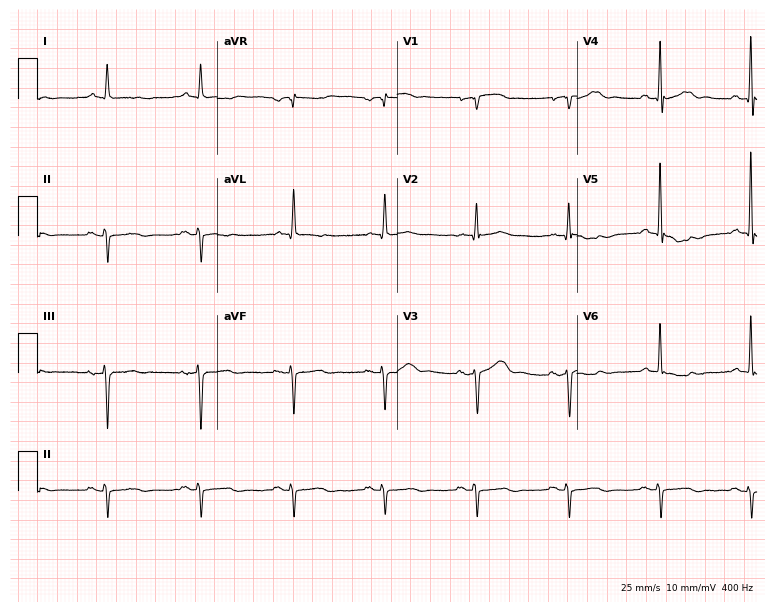
12-lead ECG from a 73-year-old male. Screened for six findings — first-degree AV block, right bundle branch block (RBBB), left bundle branch block (LBBB), sinus bradycardia, atrial fibrillation (AF), sinus tachycardia — none is recorded. Only these six findings were labelled.